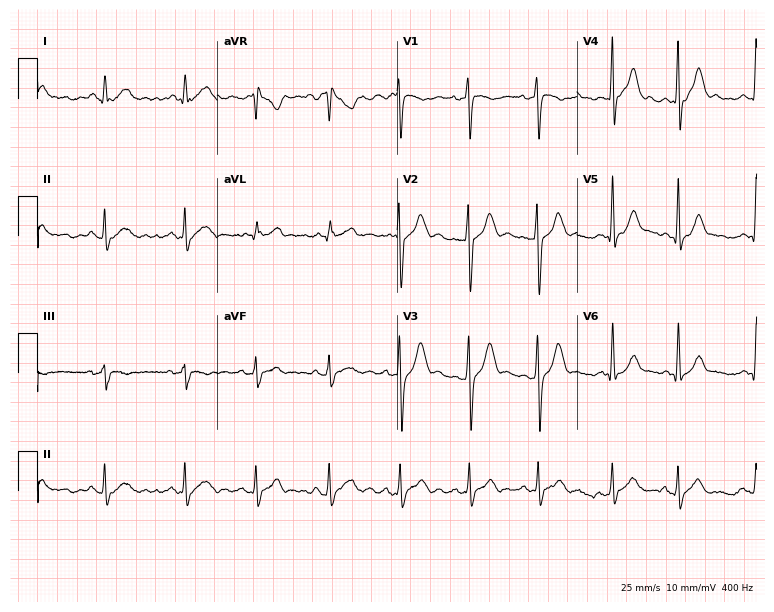
Electrocardiogram (7.3-second recording at 400 Hz), a 24-year-old male. Overall reading on record: normal ECG.